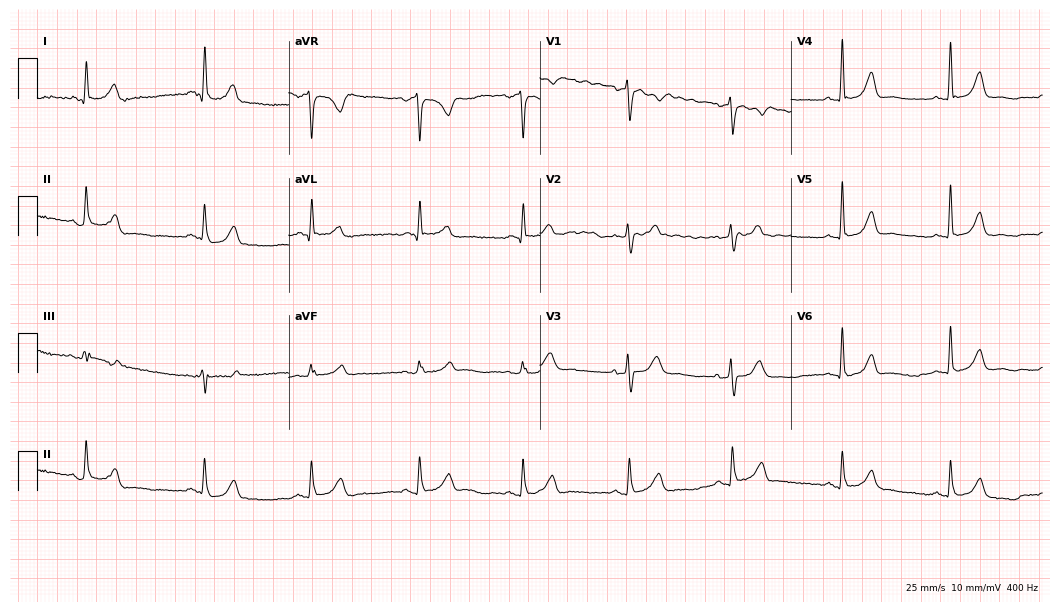
Electrocardiogram, a woman, 70 years old. Overall reading on record: normal ECG.